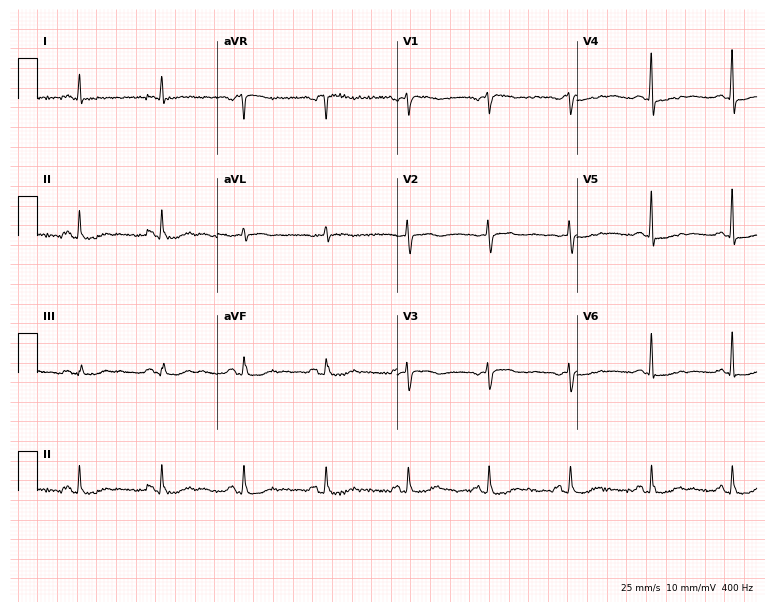
Resting 12-lead electrocardiogram. Patient: a male, 74 years old. None of these six findings is recorded: first-degree AV block, right bundle branch block, left bundle branch block, sinus bradycardia, atrial fibrillation, sinus tachycardia. Only these six findings were labelled.